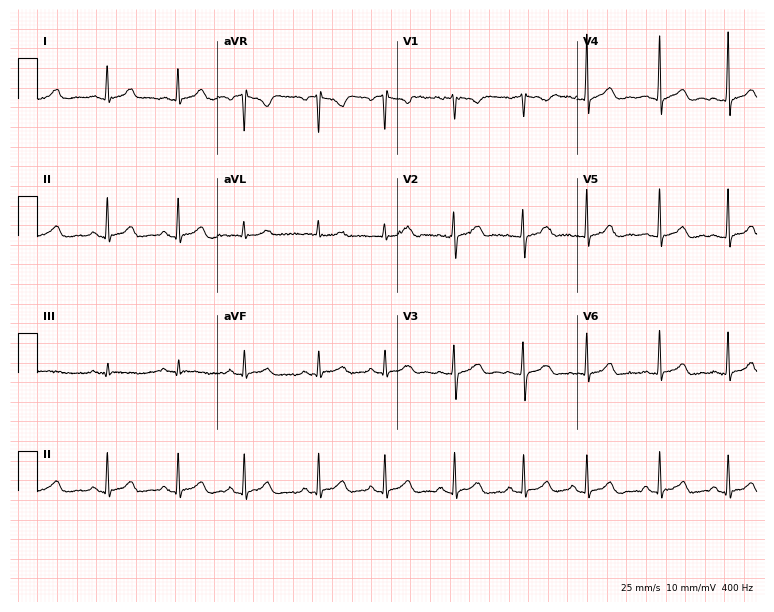
ECG — an 18-year-old woman. Labelled as a normal ECG.